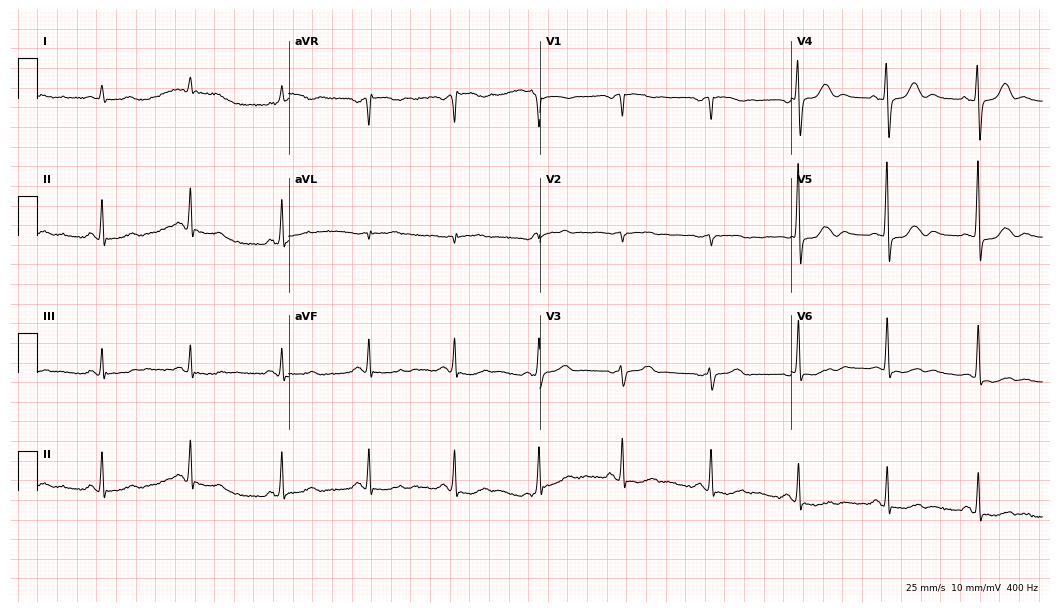
Electrocardiogram (10.2-second recording at 400 Hz), a female patient, 80 years old. Of the six screened findings (first-degree AV block, right bundle branch block, left bundle branch block, sinus bradycardia, atrial fibrillation, sinus tachycardia), none is recorded. Other findings, if any, are not listed.